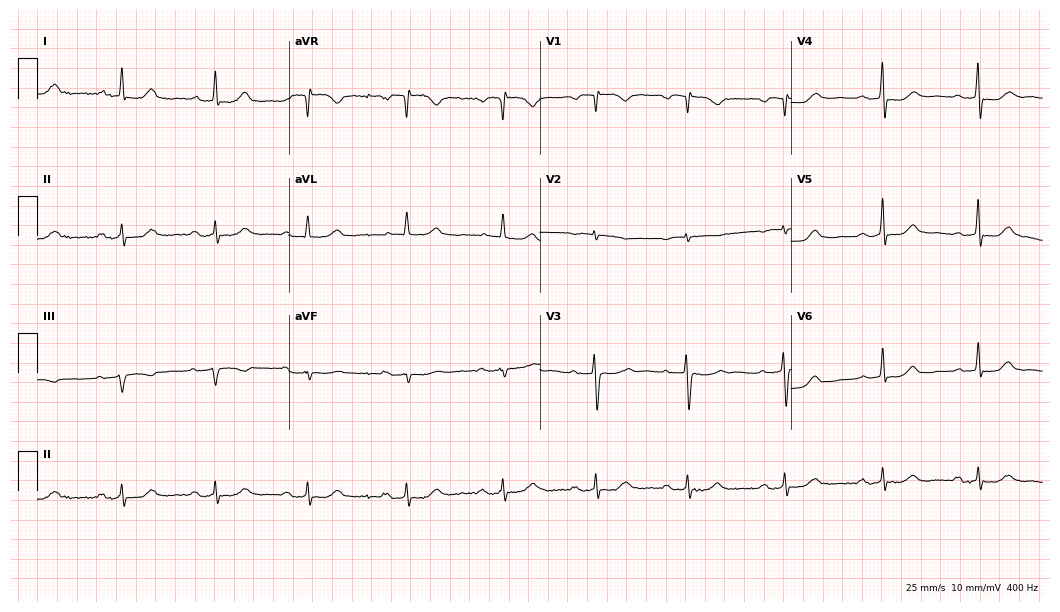
Electrocardiogram (10.2-second recording at 400 Hz), a 69-year-old female. Interpretation includes first-degree AV block.